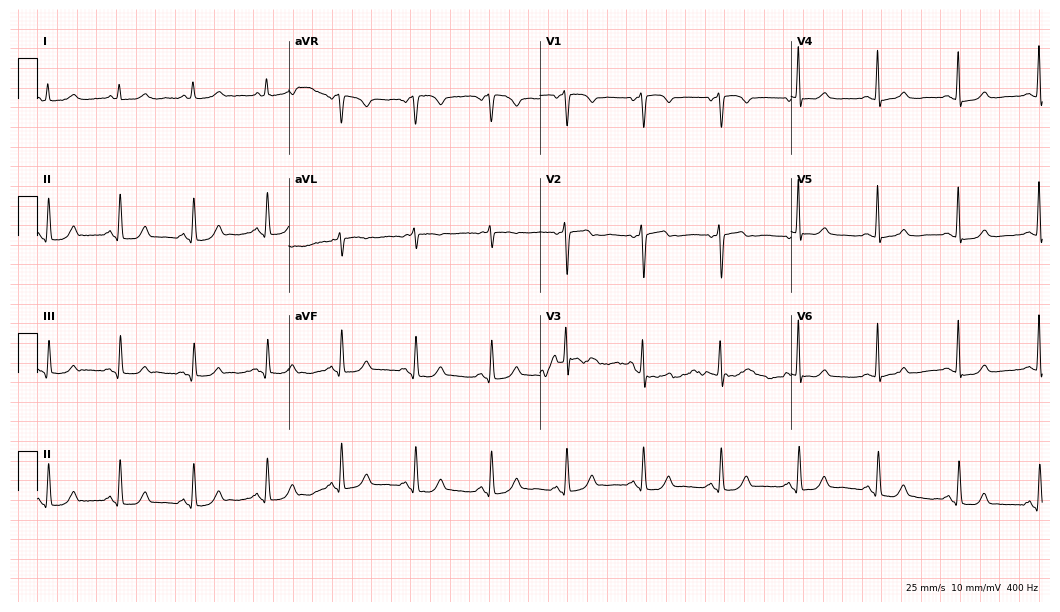
12-lead ECG from a female patient, 60 years old (10.2-second recording at 400 Hz). Recorded interpretation: within normal limits.